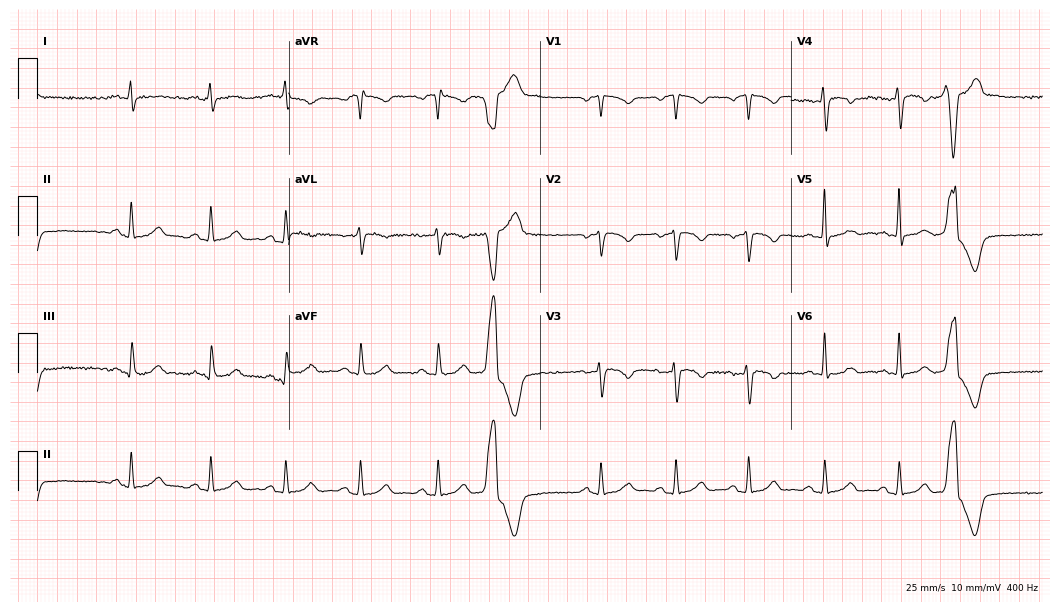
ECG — a 29-year-old female. Screened for six findings — first-degree AV block, right bundle branch block, left bundle branch block, sinus bradycardia, atrial fibrillation, sinus tachycardia — none is recorded. Findings outside these six are not listed.